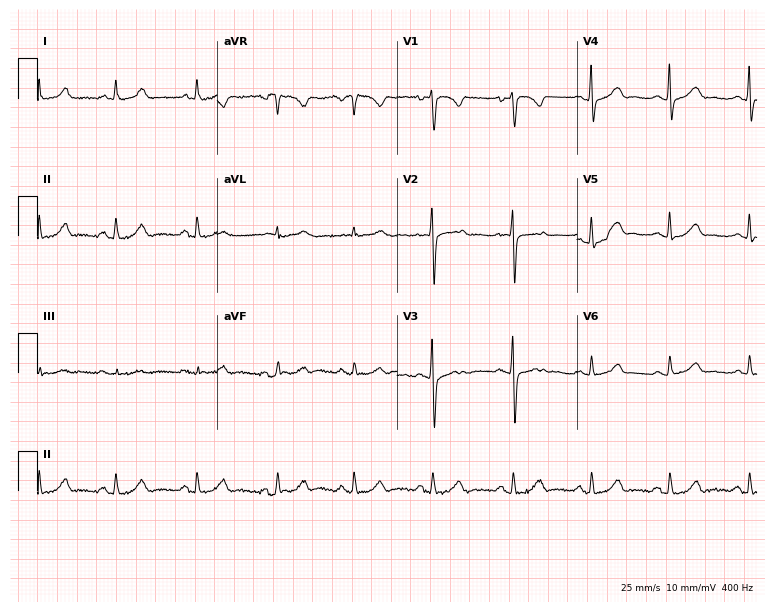
Resting 12-lead electrocardiogram. Patient: a 17-year-old female. Read as a normal ECG.